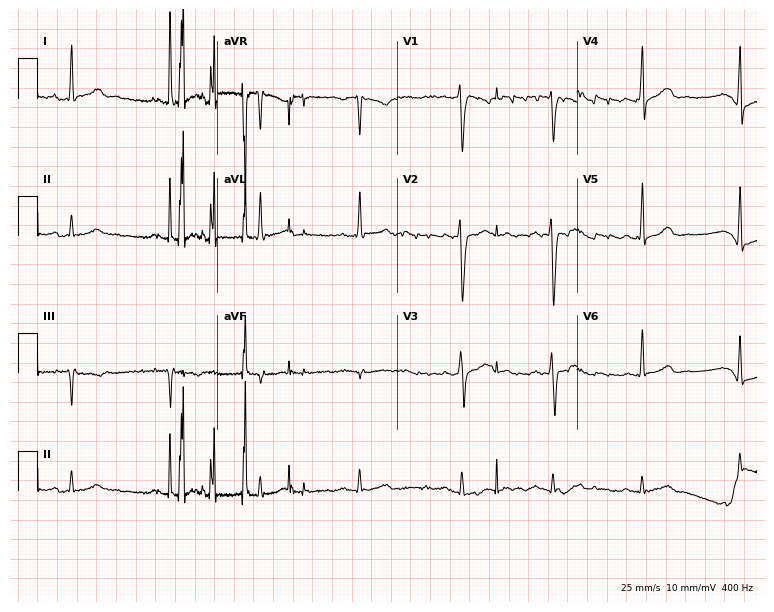
12-lead ECG from a 23-year-old male (7.3-second recording at 400 Hz). No first-degree AV block, right bundle branch block, left bundle branch block, sinus bradycardia, atrial fibrillation or sinus tachycardia recorded for this tracing.